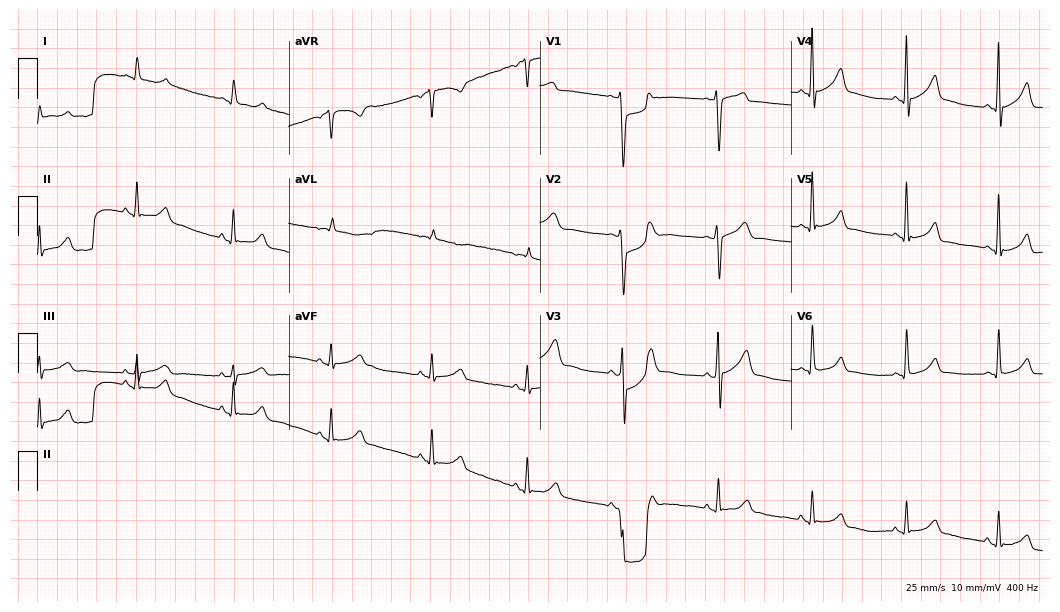
Standard 12-lead ECG recorded from a man, 63 years old (10.2-second recording at 400 Hz). Read as a normal ECG.